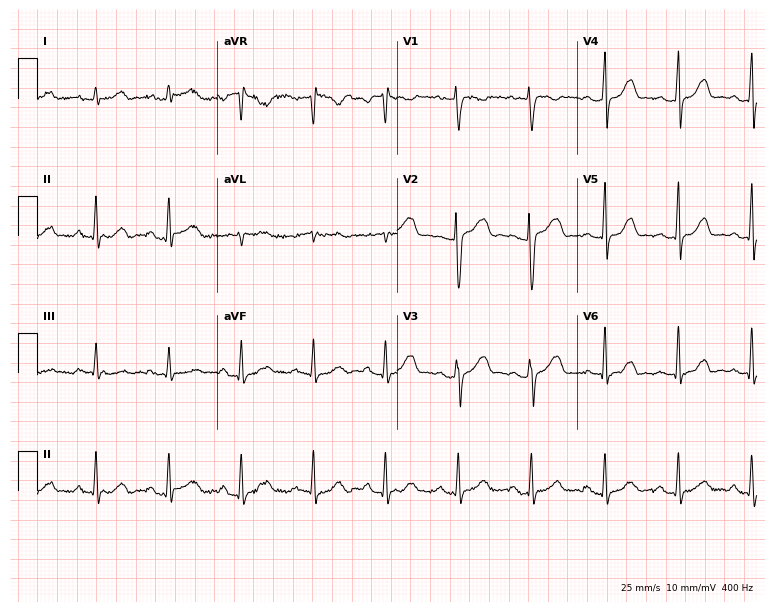
12-lead ECG from a female, 33 years old (7.3-second recording at 400 Hz). Recorded interpretation: within normal limits.